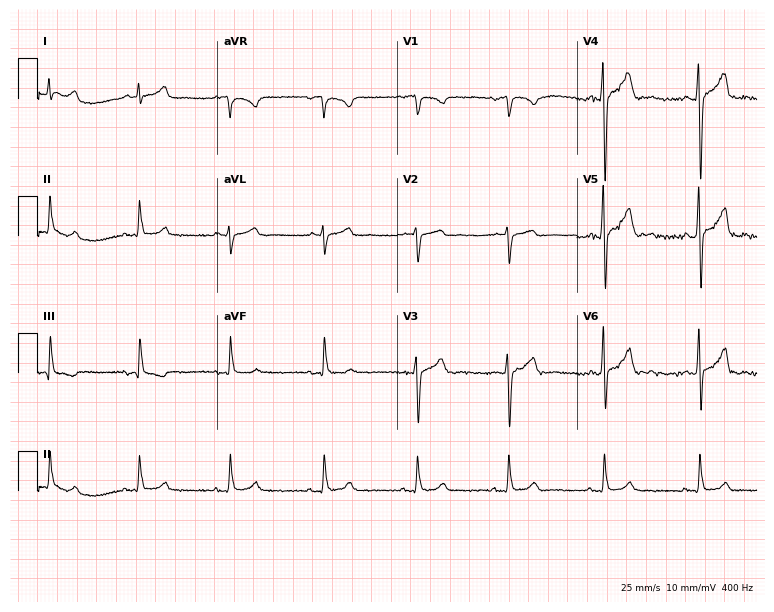
Resting 12-lead electrocardiogram (7.3-second recording at 400 Hz). Patient: a 34-year-old man. Read as a normal ECG.